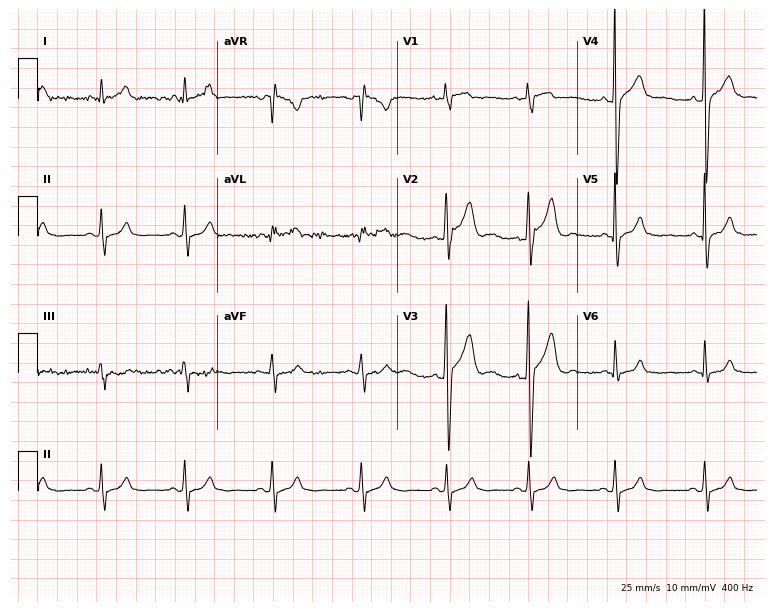
12-lead ECG (7.3-second recording at 400 Hz) from a man, 26 years old. Labelled as a normal ECG.